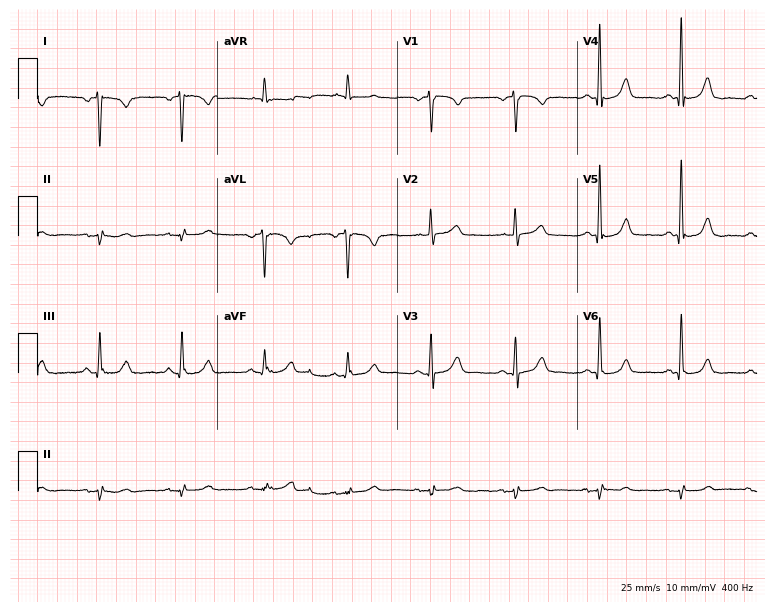
Resting 12-lead electrocardiogram (7.3-second recording at 400 Hz). Patient: a female, 64 years old. None of these six findings is recorded: first-degree AV block, right bundle branch block, left bundle branch block, sinus bradycardia, atrial fibrillation, sinus tachycardia. Other findings, if any, are not listed.